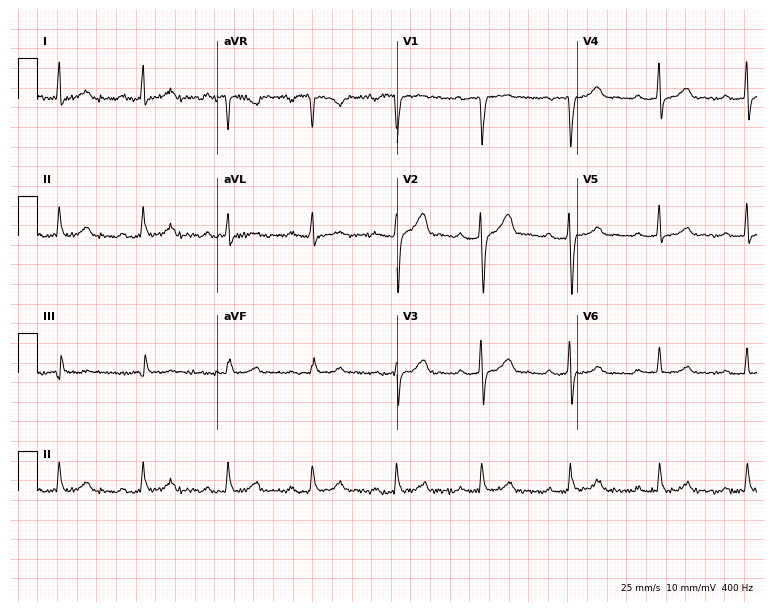
12-lead ECG from a male patient, 45 years old. Shows first-degree AV block.